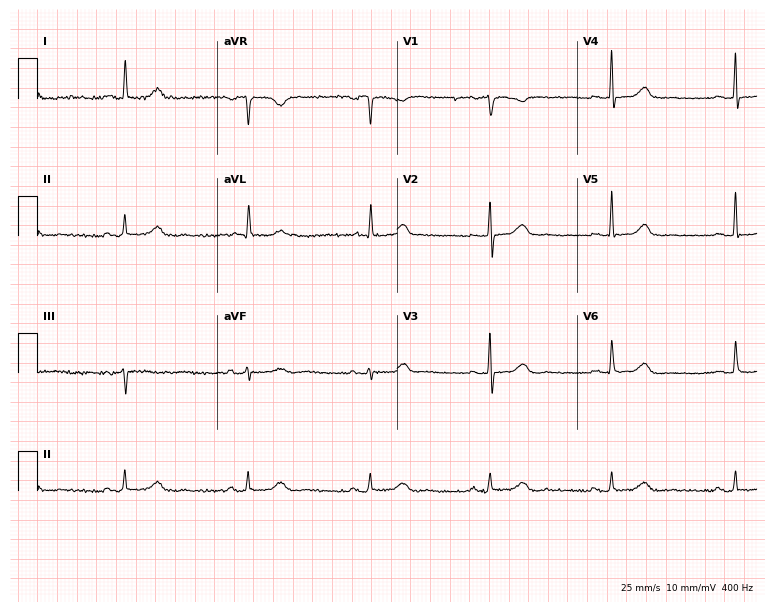
Resting 12-lead electrocardiogram (7.3-second recording at 400 Hz). Patient: a female, 76 years old. None of these six findings is recorded: first-degree AV block, right bundle branch block, left bundle branch block, sinus bradycardia, atrial fibrillation, sinus tachycardia.